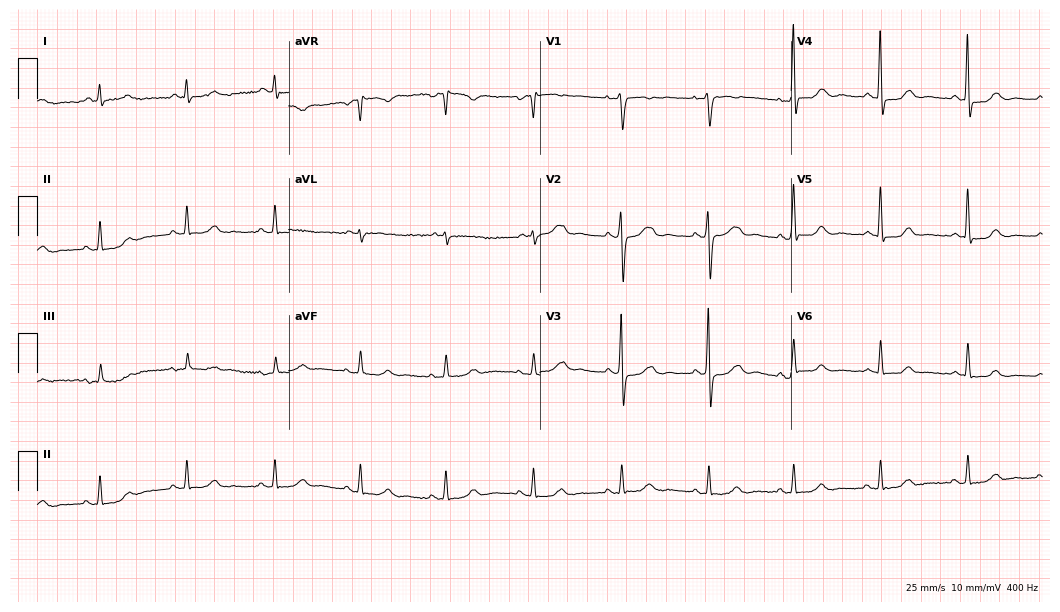
12-lead ECG from a woman, 58 years old (10.2-second recording at 400 Hz). No first-degree AV block, right bundle branch block, left bundle branch block, sinus bradycardia, atrial fibrillation or sinus tachycardia recorded for this tracing.